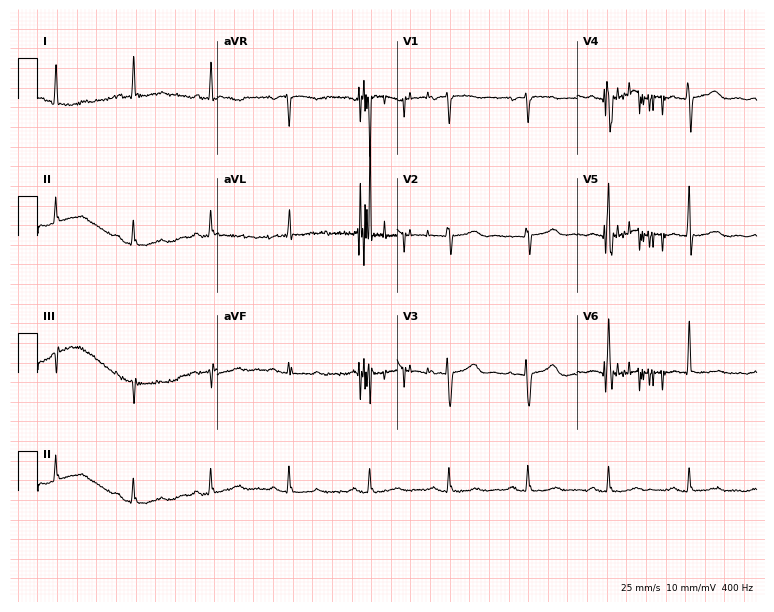
Standard 12-lead ECG recorded from a 78-year-old female (7.3-second recording at 400 Hz). Read as a normal ECG.